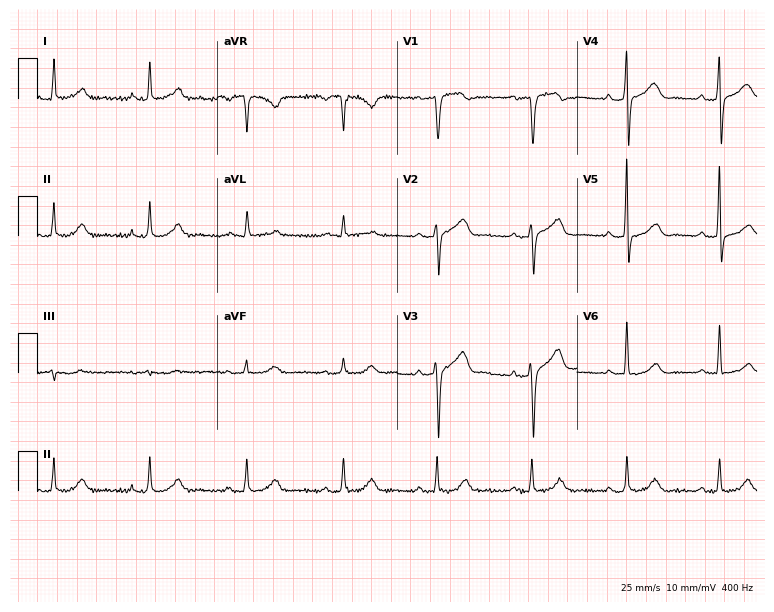
Resting 12-lead electrocardiogram. Patient: a 67-year-old male. Read as a normal ECG.